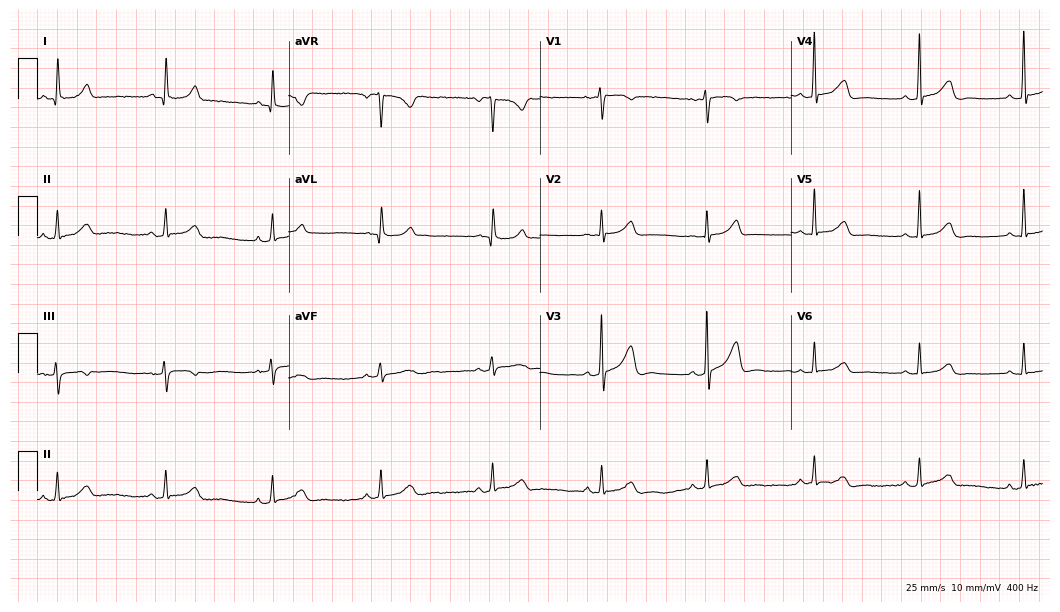
ECG — a female patient, 58 years old. Labelled as a normal ECG.